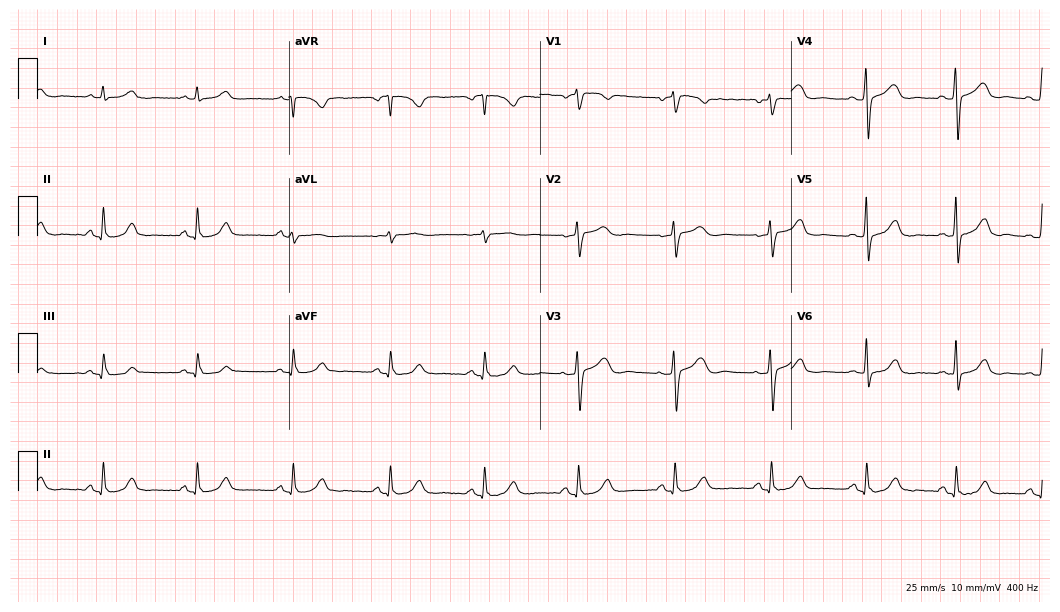
Electrocardiogram (10.2-second recording at 400 Hz), a 58-year-old female. Overall reading on record: normal ECG.